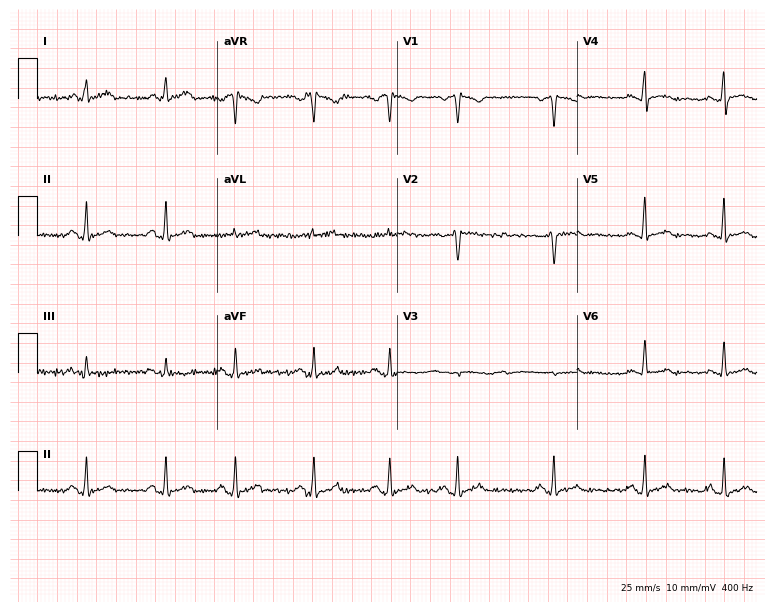
12-lead ECG from a woman, 42 years old. Screened for six findings — first-degree AV block, right bundle branch block, left bundle branch block, sinus bradycardia, atrial fibrillation, sinus tachycardia — none is recorded.